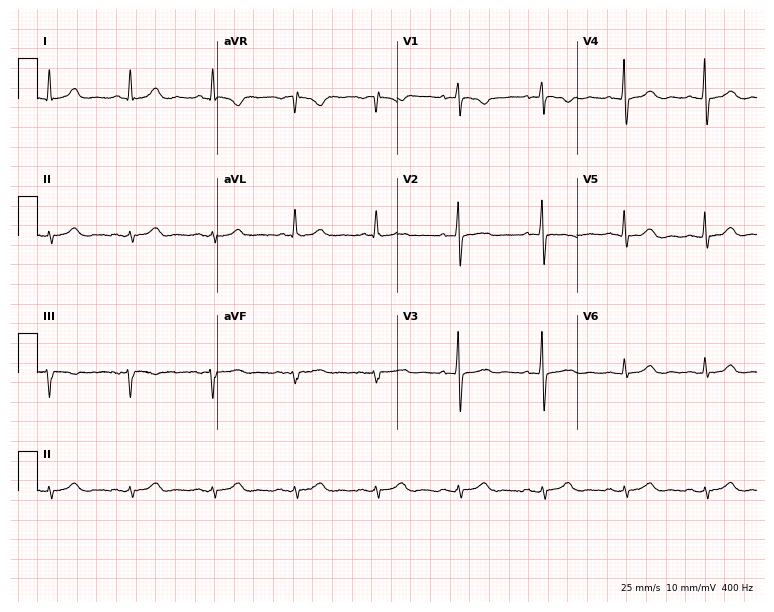
Electrocardiogram (7.3-second recording at 400 Hz), a female patient, 69 years old. Of the six screened findings (first-degree AV block, right bundle branch block (RBBB), left bundle branch block (LBBB), sinus bradycardia, atrial fibrillation (AF), sinus tachycardia), none is recorded. Only these six findings were labelled.